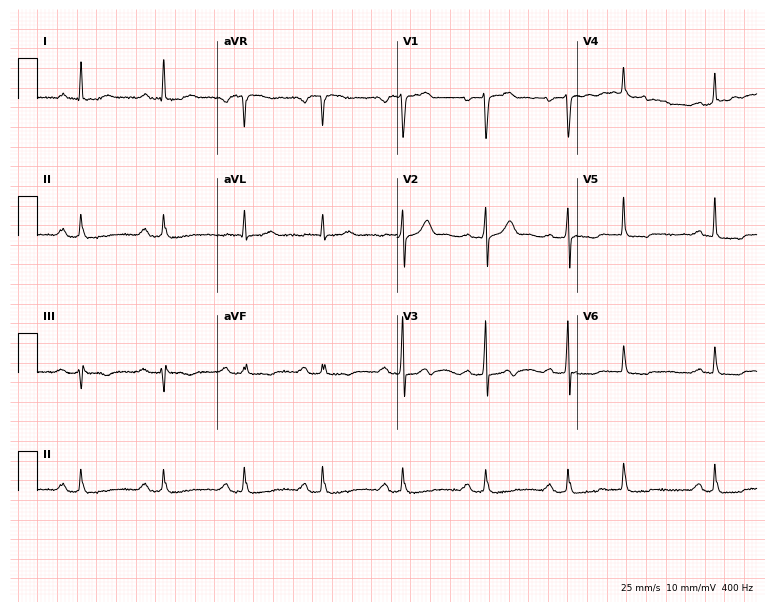
12-lead ECG from a woman, 54 years old. No first-degree AV block, right bundle branch block, left bundle branch block, sinus bradycardia, atrial fibrillation or sinus tachycardia recorded for this tracing. Only these six findings were labelled.